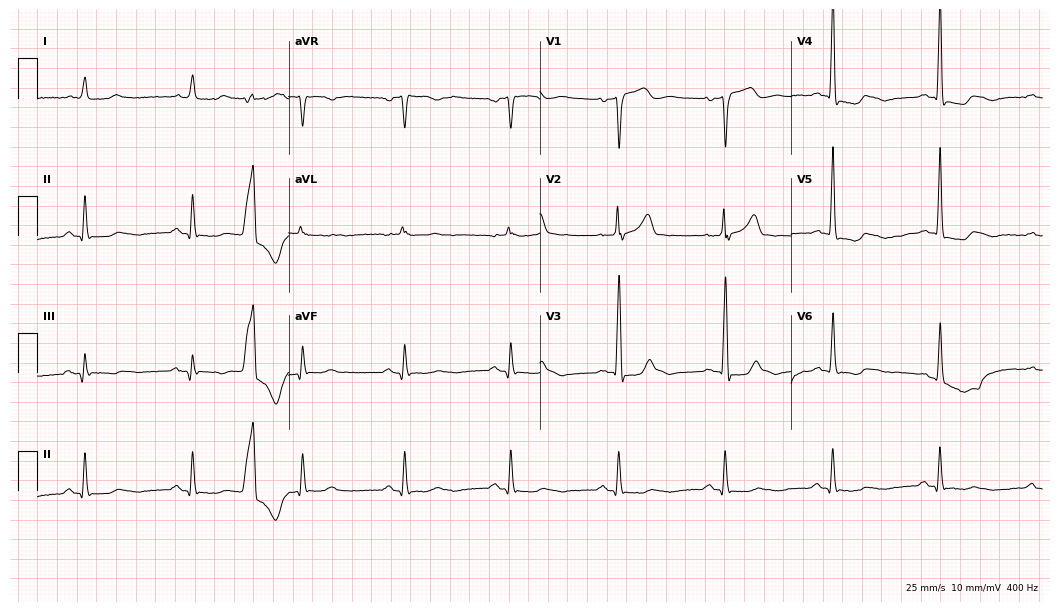
12-lead ECG from an 81-year-old man (10.2-second recording at 400 Hz). No first-degree AV block, right bundle branch block, left bundle branch block, sinus bradycardia, atrial fibrillation or sinus tachycardia recorded for this tracing. Findings outside these six are not listed.